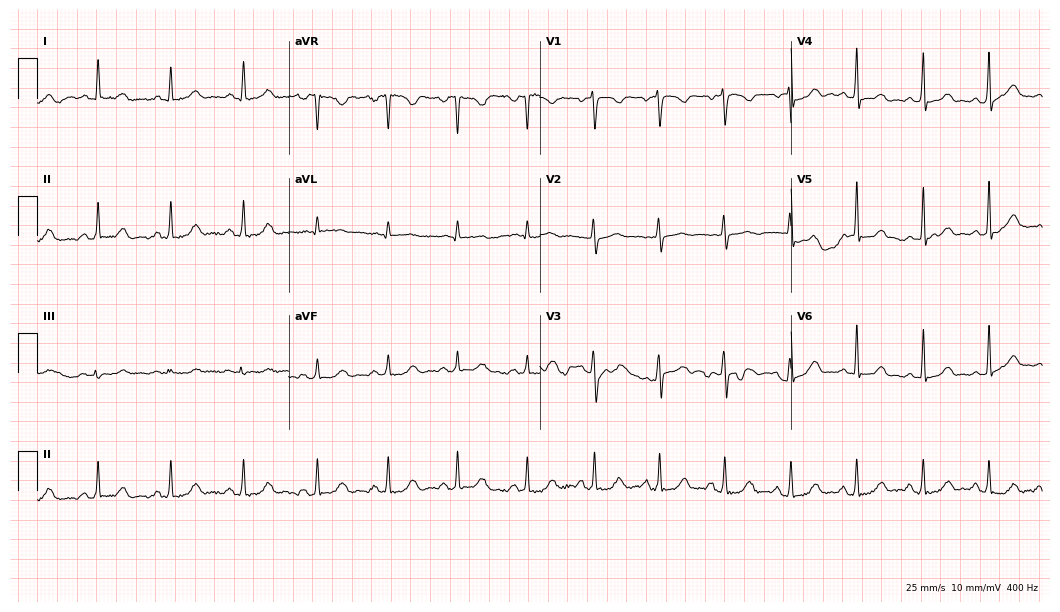
12-lead ECG (10.2-second recording at 400 Hz) from a 32-year-old woman. Labelled as a normal ECG.